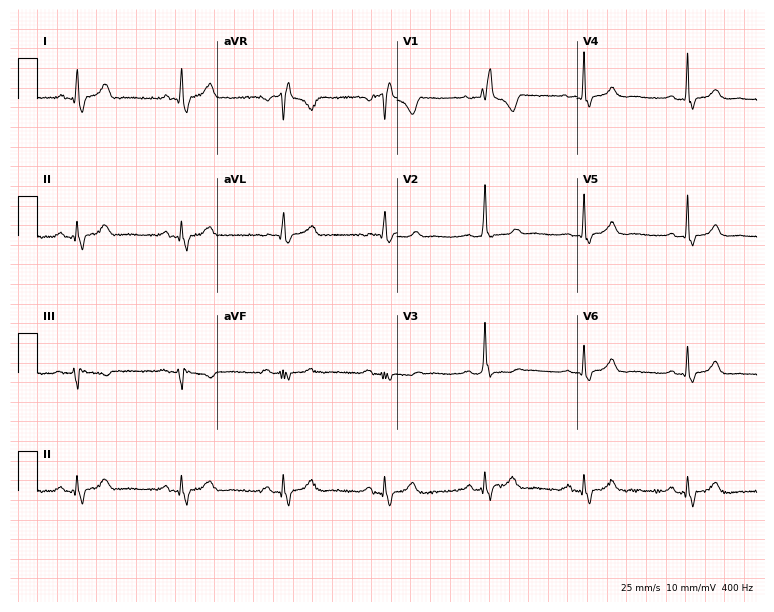
Standard 12-lead ECG recorded from a 54-year-old female patient. The tracing shows right bundle branch block.